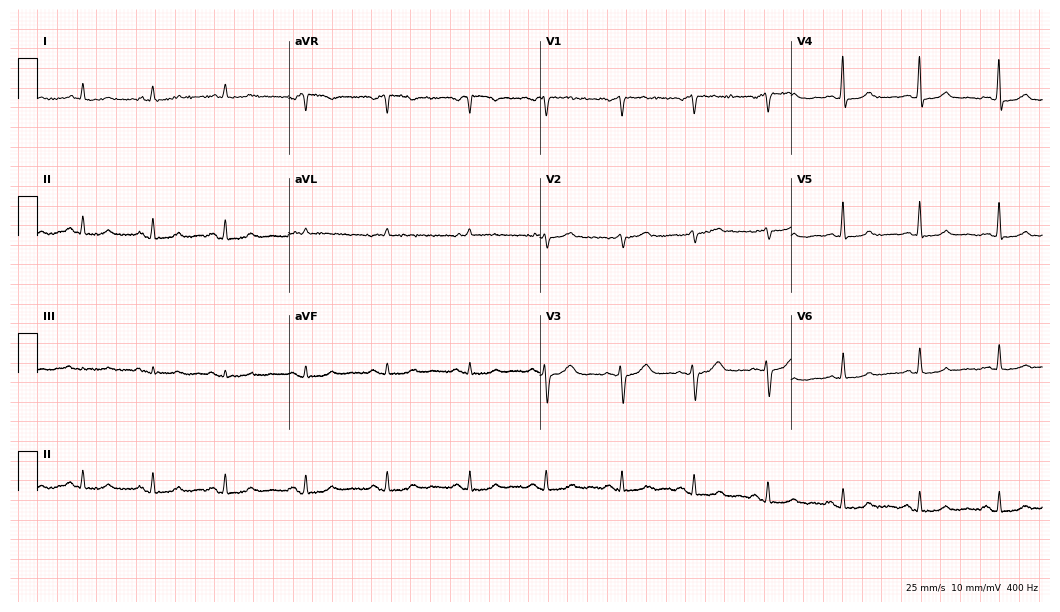
12-lead ECG from a 61-year-old woman (10.2-second recording at 400 Hz). Recorded interpretation: within normal limits.